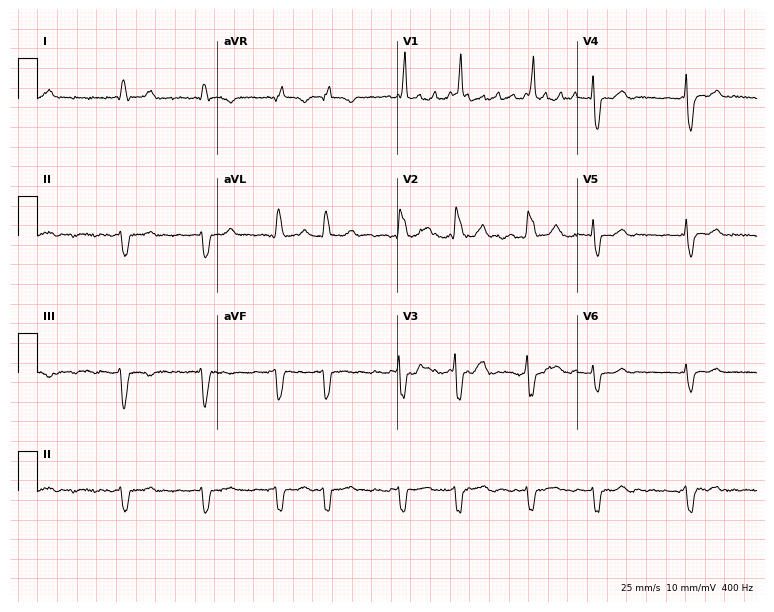
Resting 12-lead electrocardiogram. Patient: a 69-year-old man. The tracing shows right bundle branch block (RBBB), atrial fibrillation (AF).